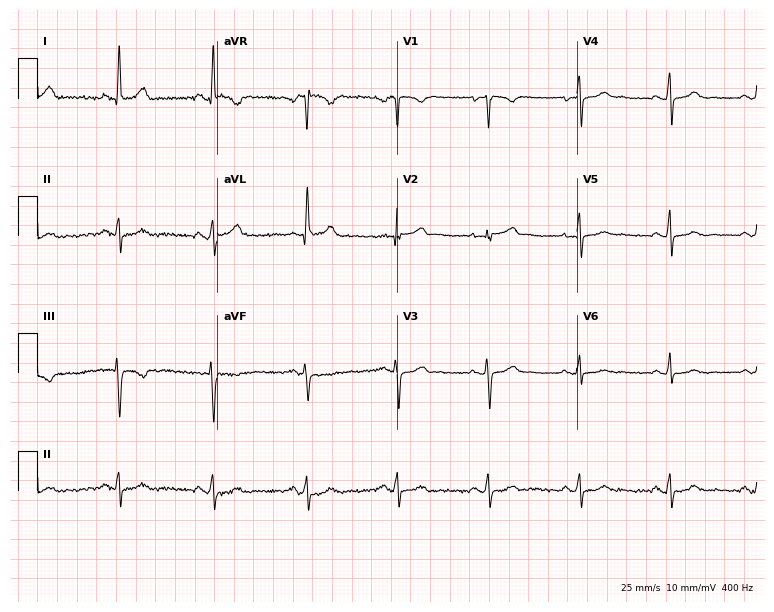
12-lead ECG (7.3-second recording at 400 Hz) from a 43-year-old woman. Screened for six findings — first-degree AV block, right bundle branch block (RBBB), left bundle branch block (LBBB), sinus bradycardia, atrial fibrillation (AF), sinus tachycardia — none is recorded. Findings outside these six are not listed.